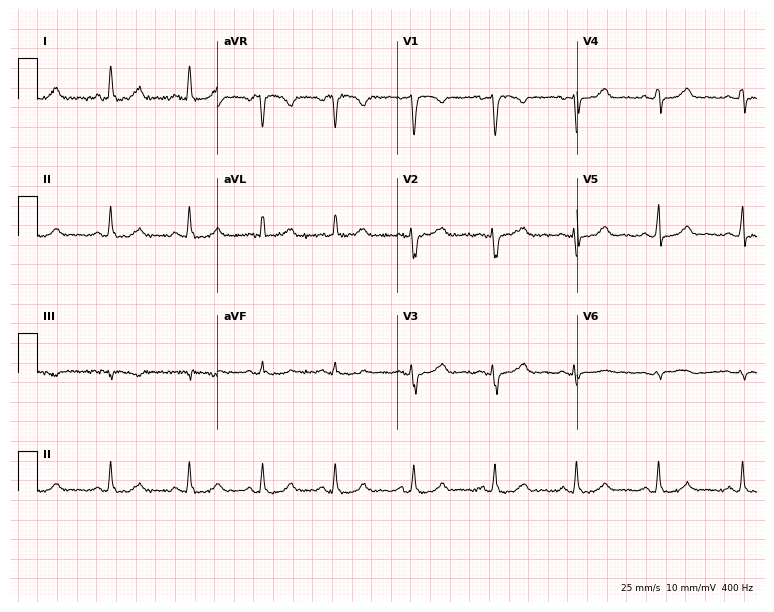
Standard 12-lead ECG recorded from a 48-year-old female. Read as a normal ECG.